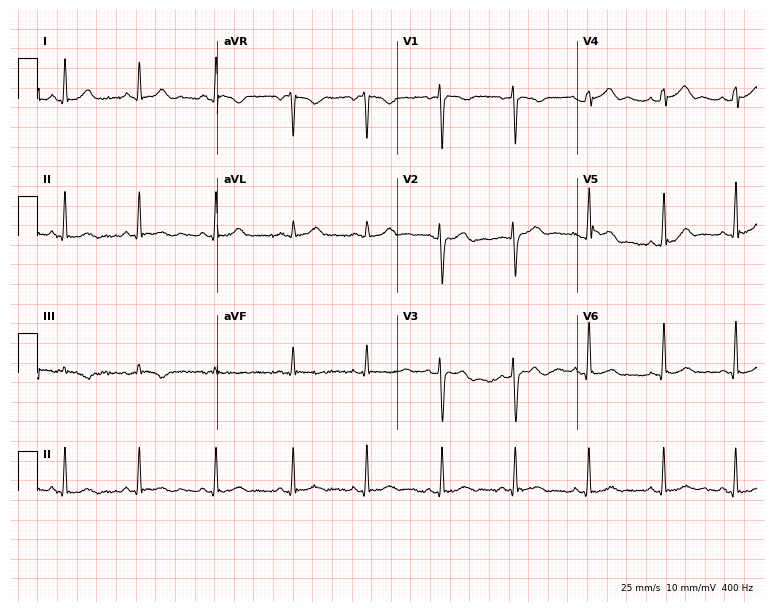
12-lead ECG from a man, 22 years old. Labelled as a normal ECG.